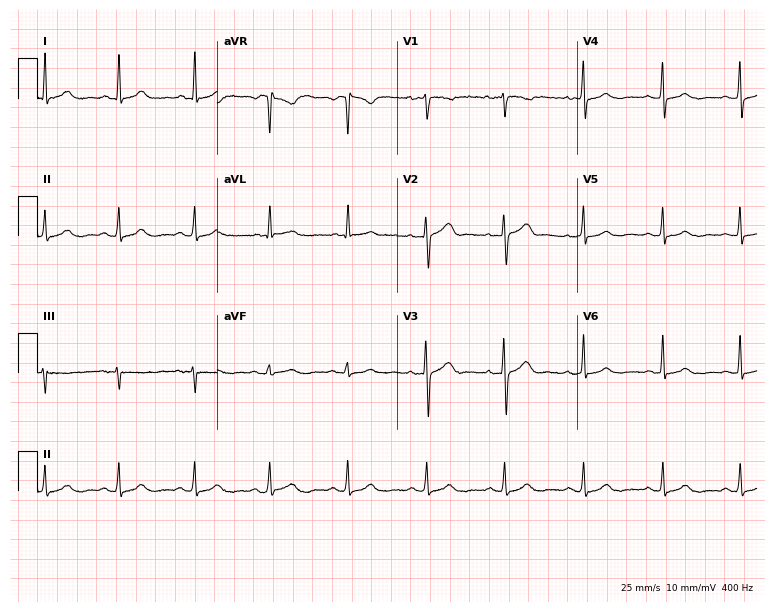
Standard 12-lead ECG recorded from a female patient, 44 years old (7.3-second recording at 400 Hz). Read as a normal ECG.